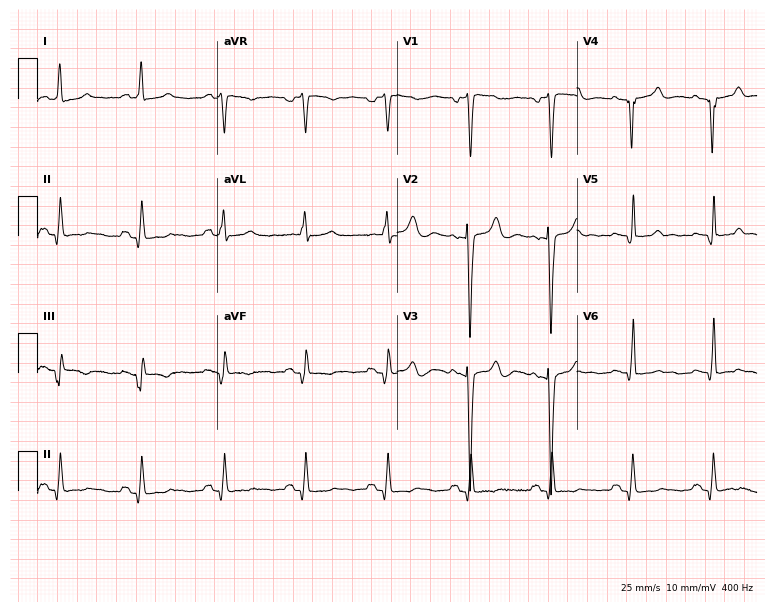
Electrocardiogram, a 55-year-old man. Of the six screened findings (first-degree AV block, right bundle branch block, left bundle branch block, sinus bradycardia, atrial fibrillation, sinus tachycardia), none is recorded. Findings outside these six are not listed.